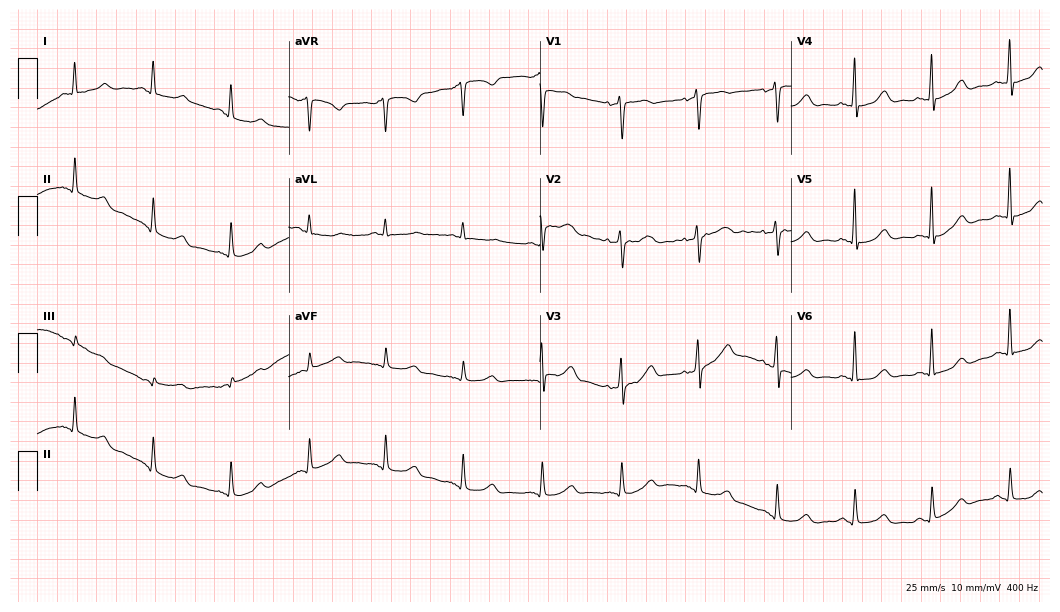
Resting 12-lead electrocardiogram. Patient: a female, 62 years old. None of these six findings is recorded: first-degree AV block, right bundle branch block, left bundle branch block, sinus bradycardia, atrial fibrillation, sinus tachycardia. Only these six findings were labelled.